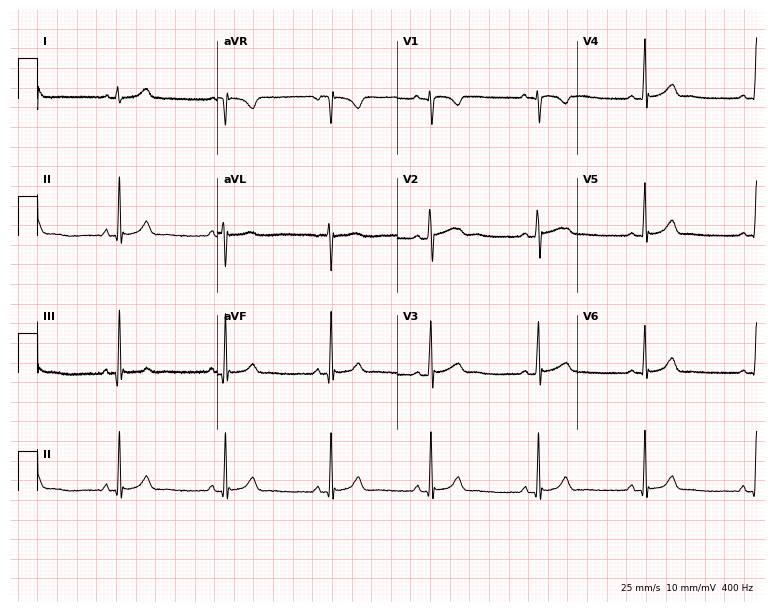
Electrocardiogram (7.3-second recording at 400 Hz), a 17-year-old female. Overall reading on record: normal ECG.